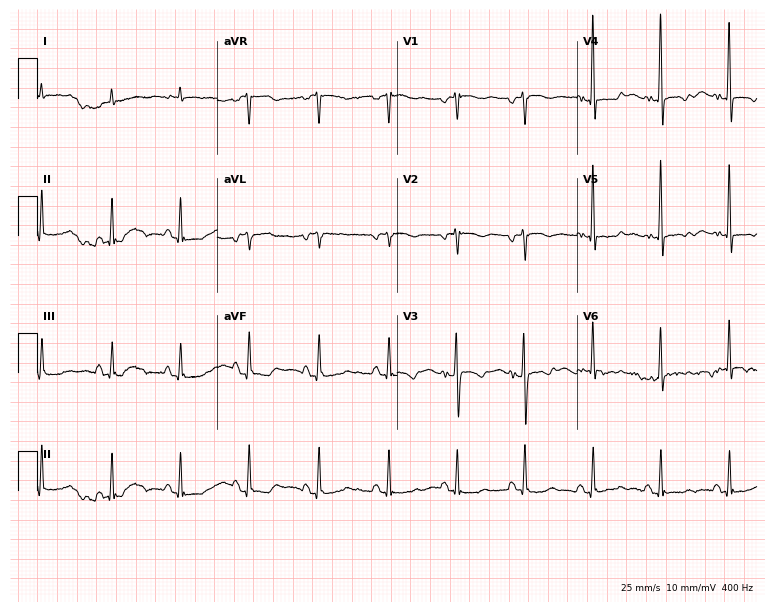
Standard 12-lead ECG recorded from a 65-year-old woman (7.3-second recording at 400 Hz). None of these six findings is recorded: first-degree AV block, right bundle branch block, left bundle branch block, sinus bradycardia, atrial fibrillation, sinus tachycardia.